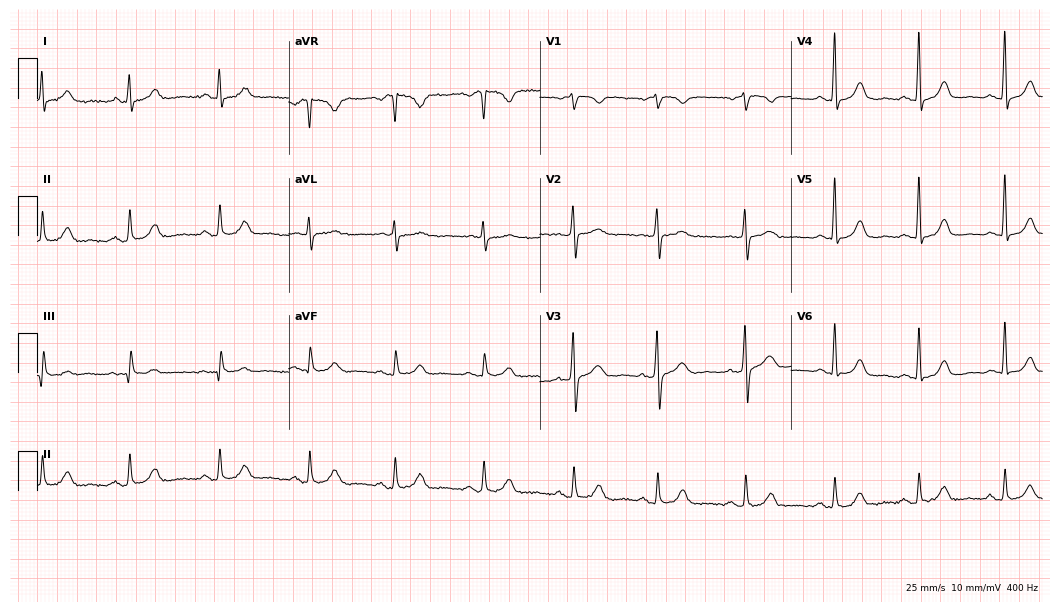
ECG — a female patient, 58 years old. Labelled as a normal ECG.